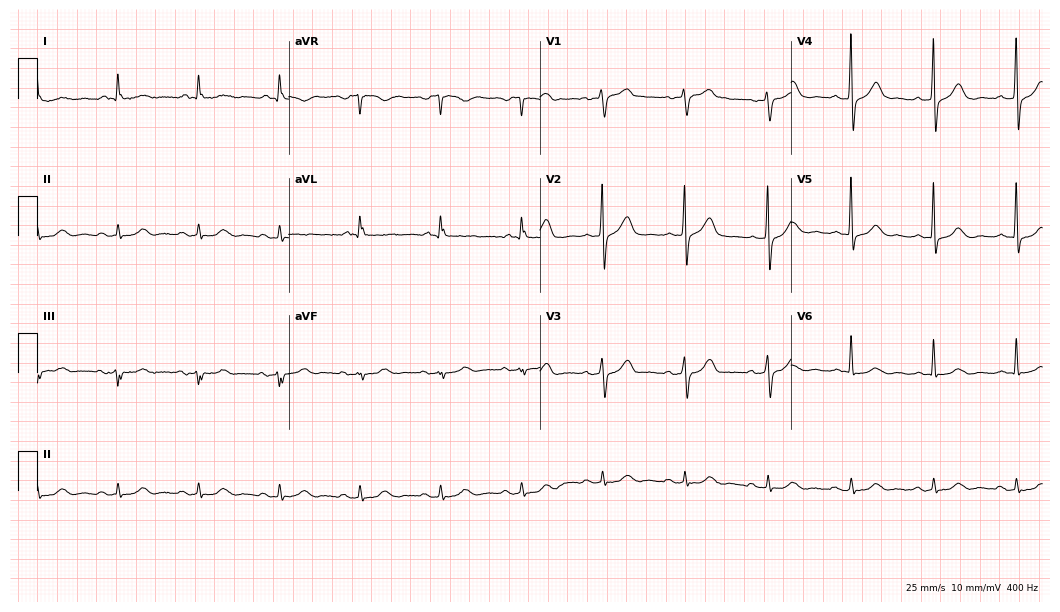
12-lead ECG from a 74-year-old male patient (10.2-second recording at 400 Hz). Recorded interpretation: within normal limits.